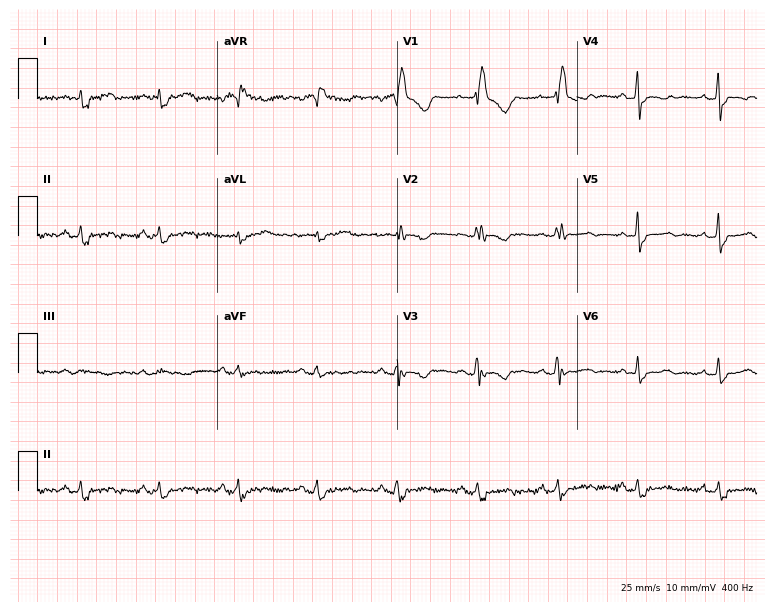
12-lead ECG from a 38-year-old female (7.3-second recording at 400 Hz). Shows right bundle branch block.